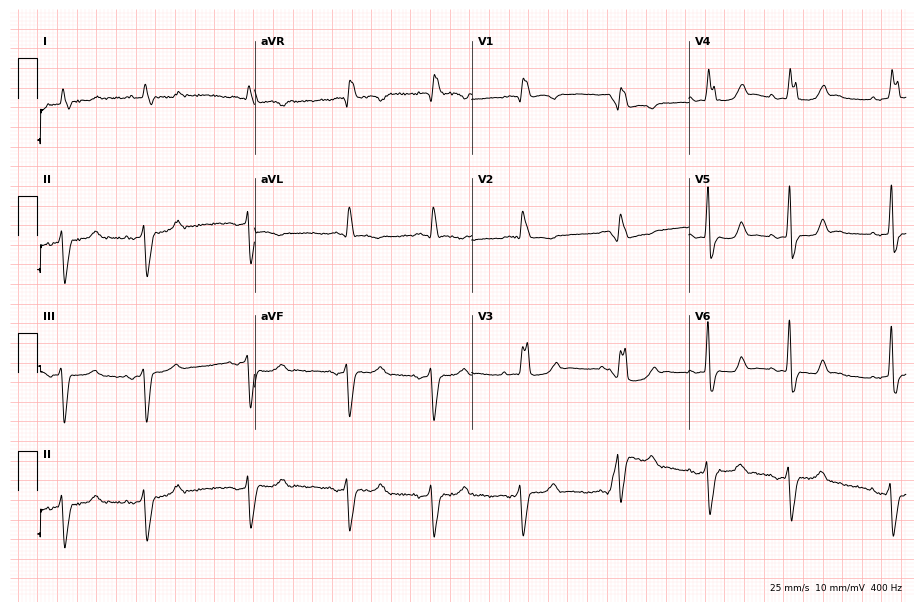
Electrocardiogram, an 85-year-old male patient. Of the six screened findings (first-degree AV block, right bundle branch block, left bundle branch block, sinus bradycardia, atrial fibrillation, sinus tachycardia), none is recorded.